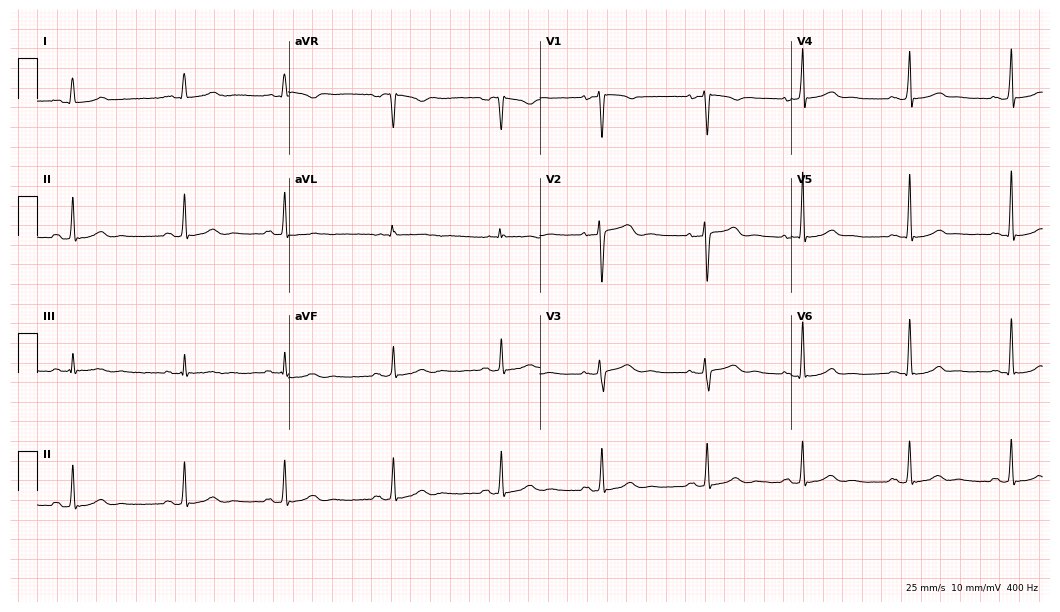
Resting 12-lead electrocardiogram (10.2-second recording at 400 Hz). Patient: a female, 24 years old. None of these six findings is recorded: first-degree AV block, right bundle branch block, left bundle branch block, sinus bradycardia, atrial fibrillation, sinus tachycardia. Other findings, if any, are not listed.